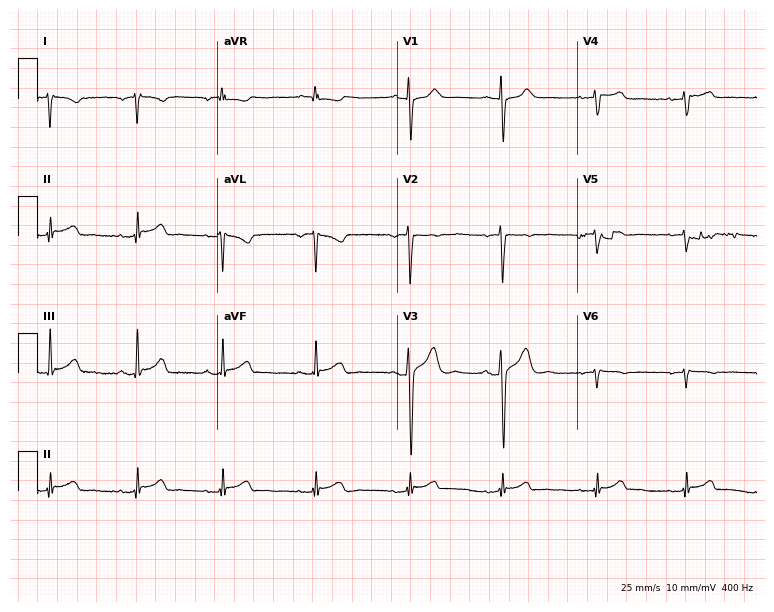
12-lead ECG from a 21-year-old male. Screened for six findings — first-degree AV block, right bundle branch block (RBBB), left bundle branch block (LBBB), sinus bradycardia, atrial fibrillation (AF), sinus tachycardia — none is recorded.